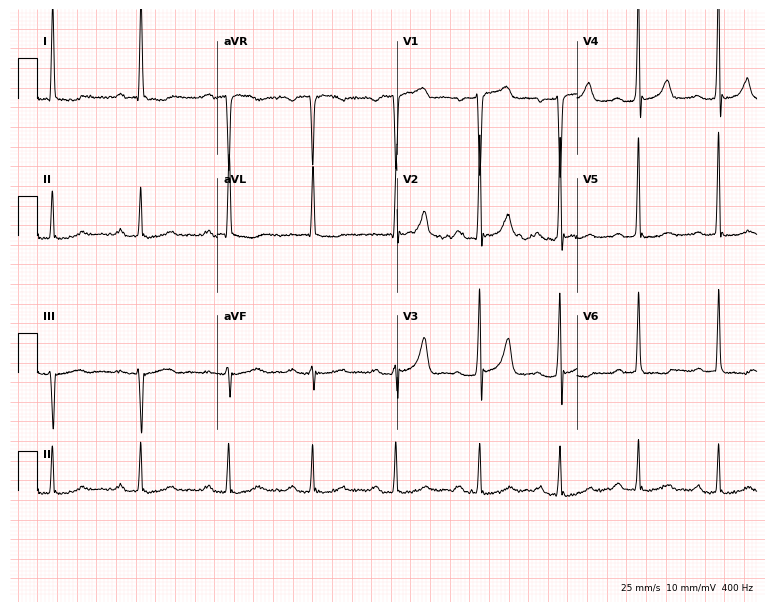
Standard 12-lead ECG recorded from a female, 51 years old. The tracing shows first-degree AV block.